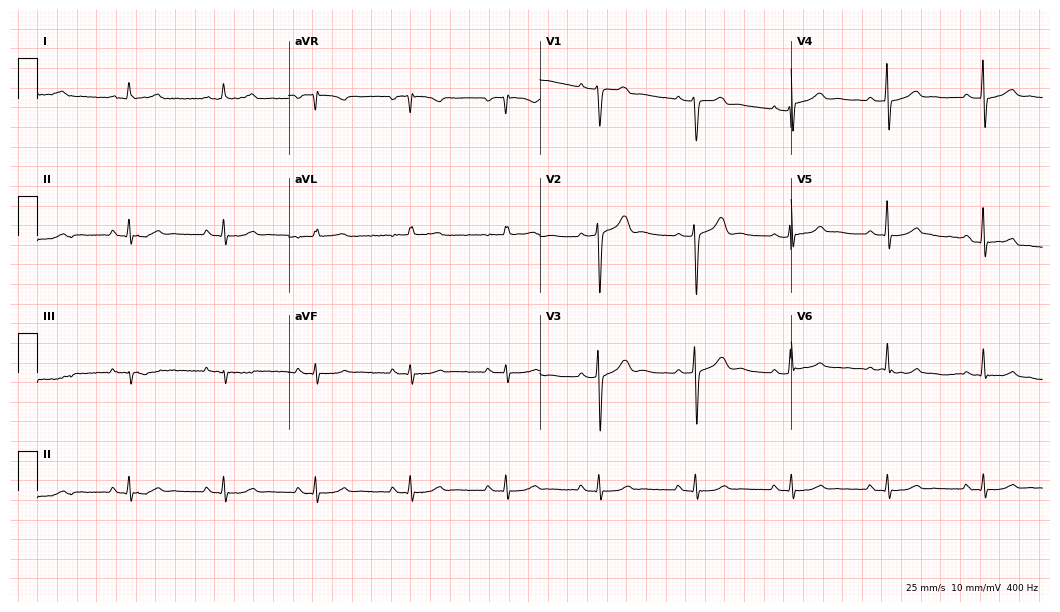
Standard 12-lead ECG recorded from a man, 63 years old (10.2-second recording at 400 Hz). Read as a normal ECG.